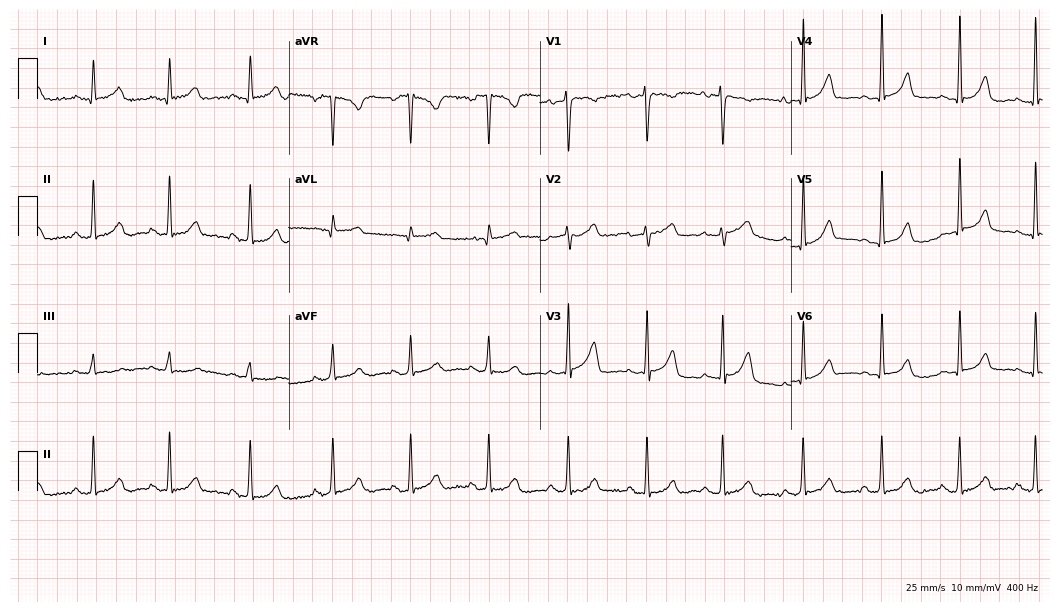
12-lead ECG from a woman, 35 years old (10.2-second recording at 400 Hz). Recorded interpretation: within normal limits.